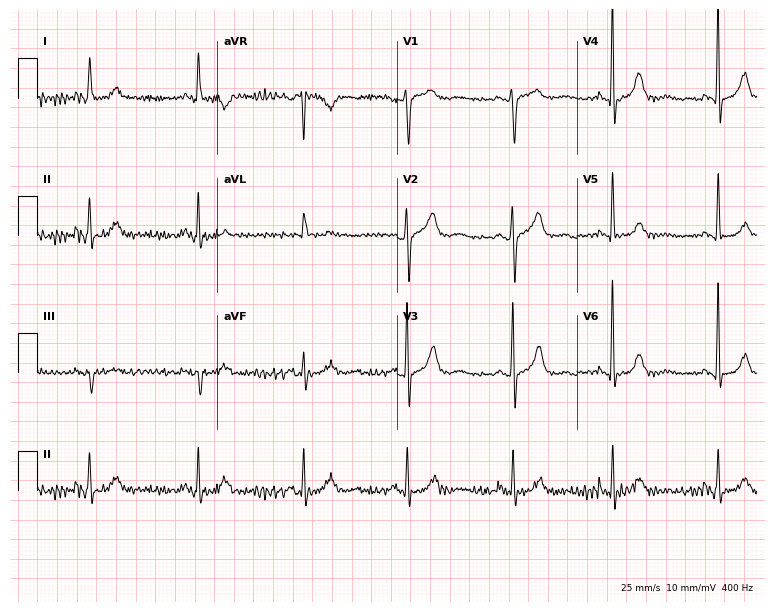
ECG — a 75-year-old female patient. Labelled as a normal ECG.